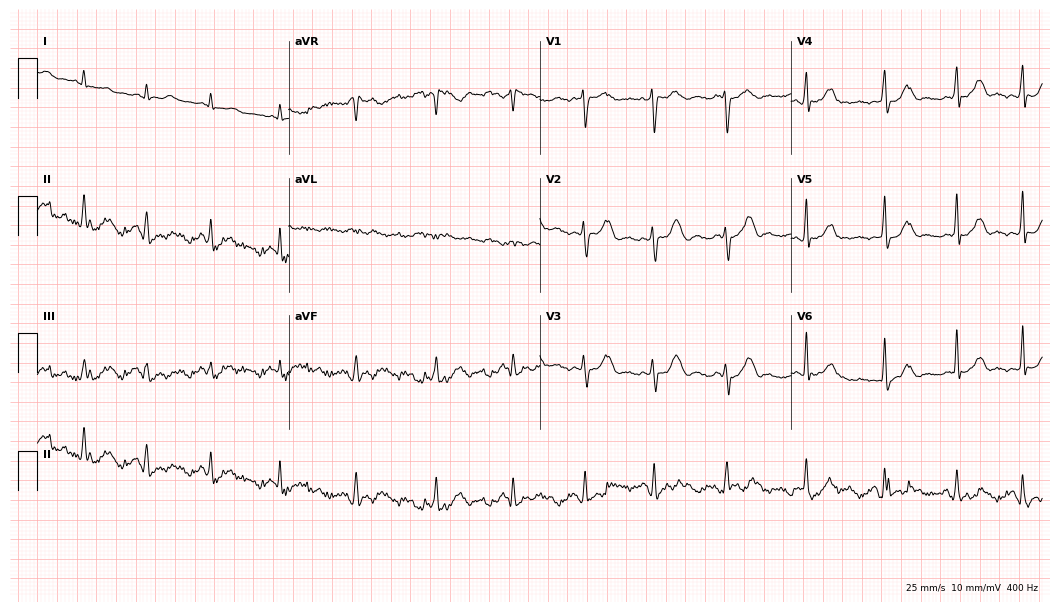
12-lead ECG from a 25-year-old female patient. Labelled as a normal ECG.